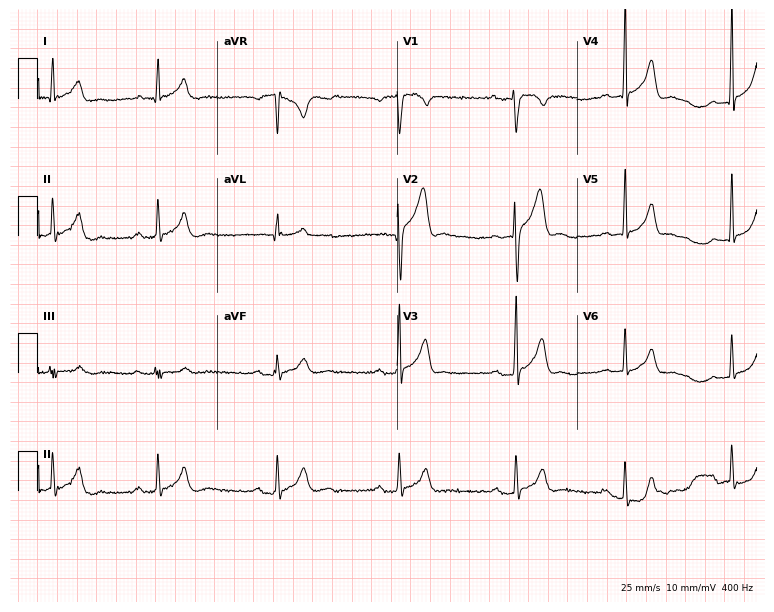
Resting 12-lead electrocardiogram. Patient: a man, 32 years old. The tracing shows first-degree AV block.